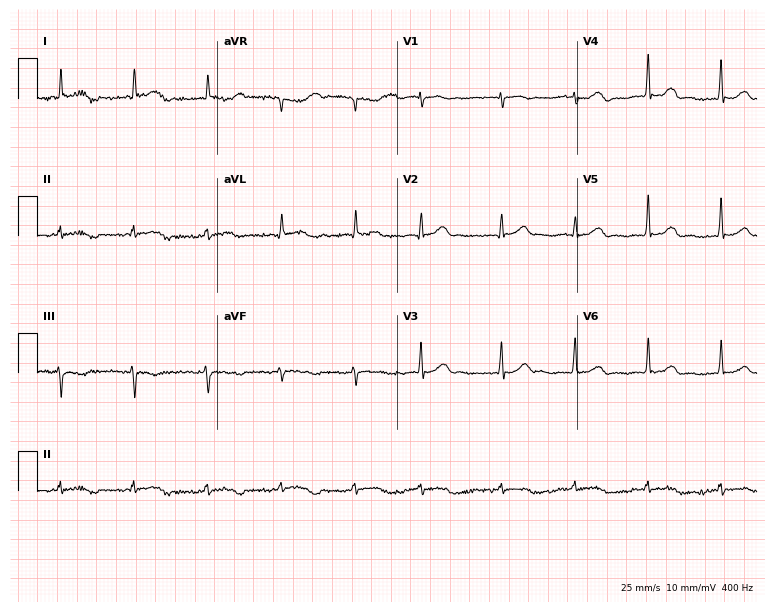
ECG (7.3-second recording at 400 Hz) — a 79-year-old male. Screened for six findings — first-degree AV block, right bundle branch block, left bundle branch block, sinus bradycardia, atrial fibrillation, sinus tachycardia — none is recorded. Findings outside these six are not listed.